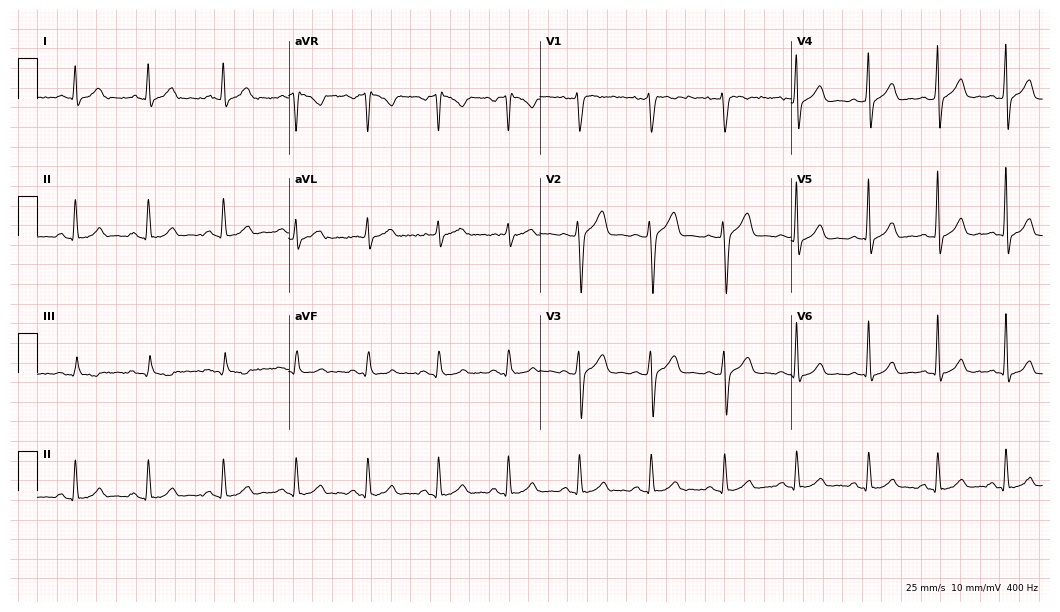
Resting 12-lead electrocardiogram. Patient: a male, 35 years old. Read as a normal ECG.